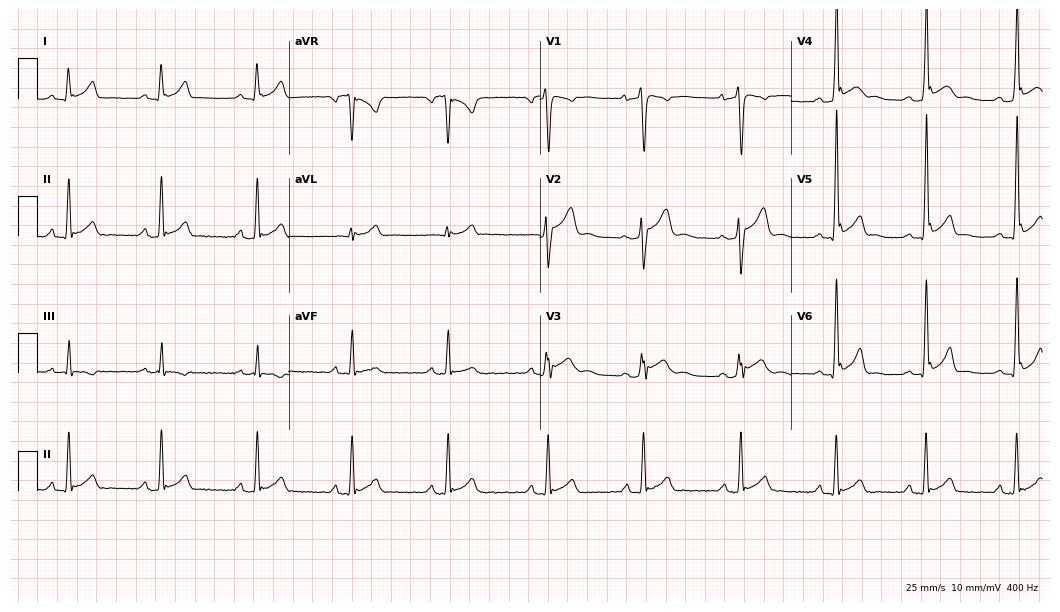
12-lead ECG from a male, 29 years old. No first-degree AV block, right bundle branch block, left bundle branch block, sinus bradycardia, atrial fibrillation or sinus tachycardia recorded for this tracing.